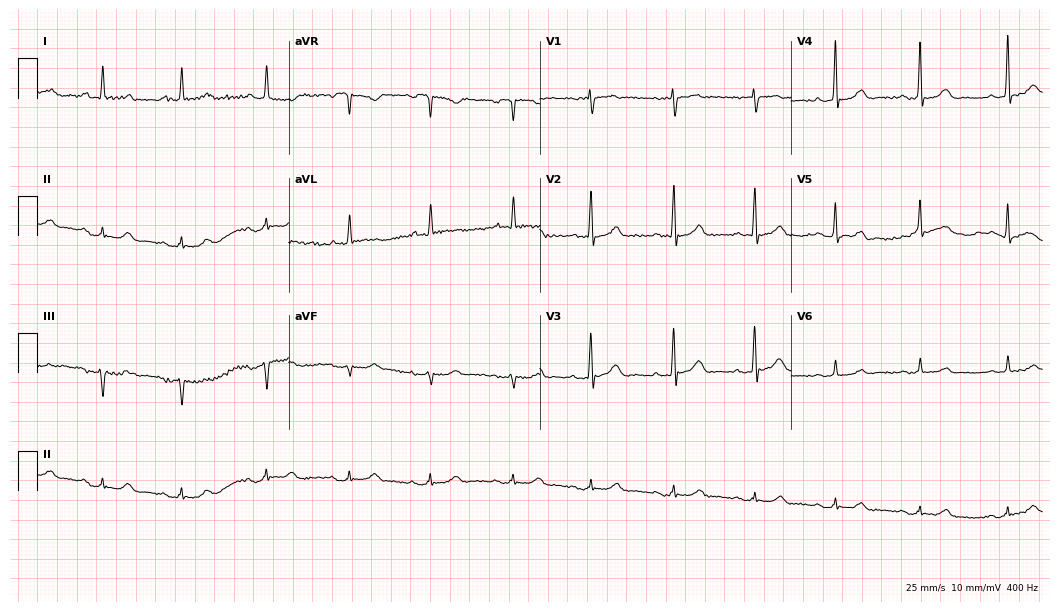
Electrocardiogram (10.2-second recording at 400 Hz), a woman, 75 years old. Of the six screened findings (first-degree AV block, right bundle branch block, left bundle branch block, sinus bradycardia, atrial fibrillation, sinus tachycardia), none is recorded.